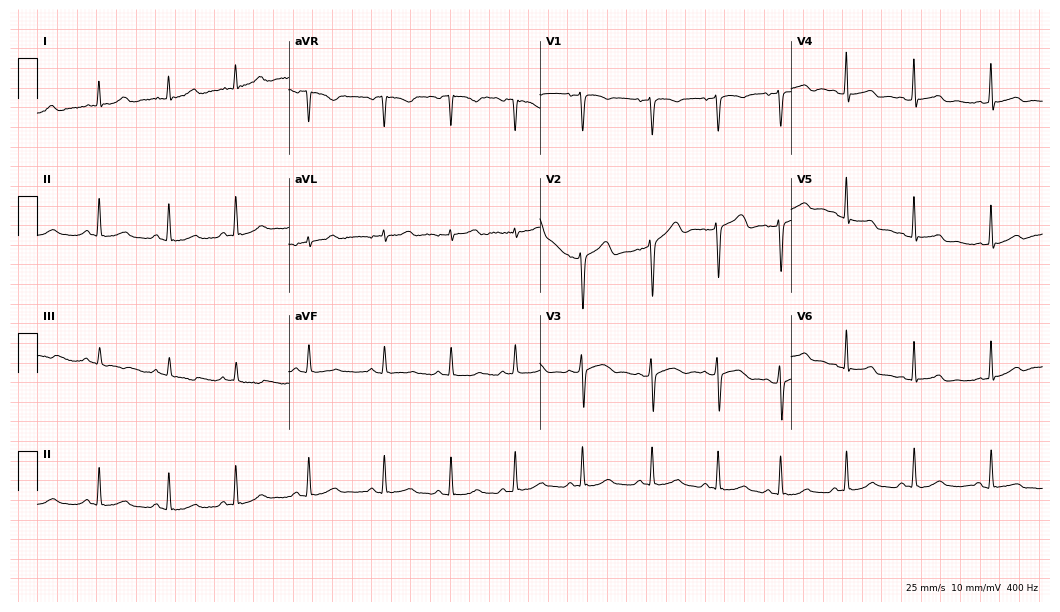
12-lead ECG (10.2-second recording at 400 Hz) from a 26-year-old female patient. Labelled as a normal ECG.